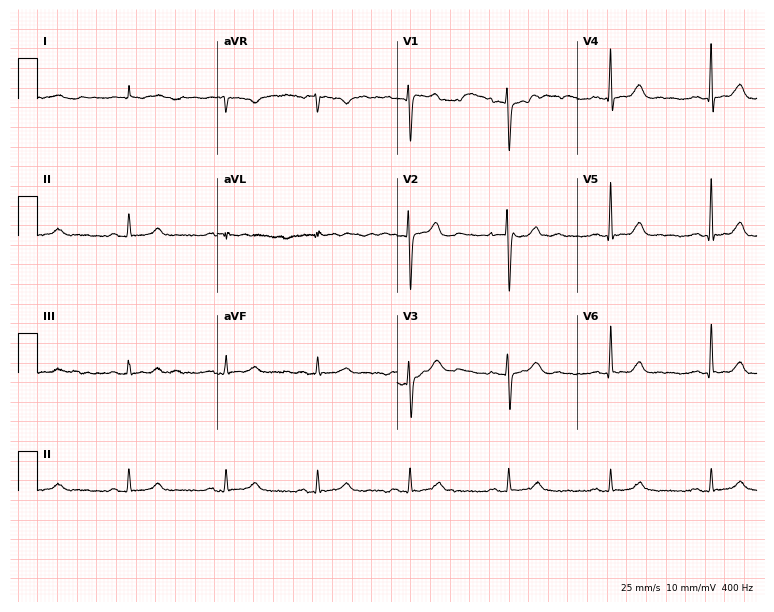
Standard 12-lead ECG recorded from a male patient, 68 years old (7.3-second recording at 400 Hz). None of these six findings is recorded: first-degree AV block, right bundle branch block, left bundle branch block, sinus bradycardia, atrial fibrillation, sinus tachycardia. Other findings, if any, are not listed.